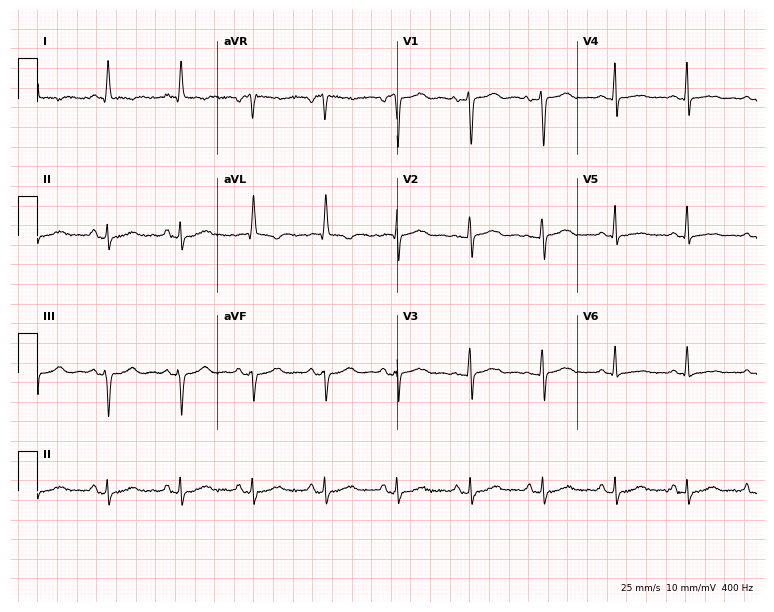
12-lead ECG from a 52-year-old woman. Screened for six findings — first-degree AV block, right bundle branch block, left bundle branch block, sinus bradycardia, atrial fibrillation, sinus tachycardia — none is recorded. Other findings, if any, are not listed.